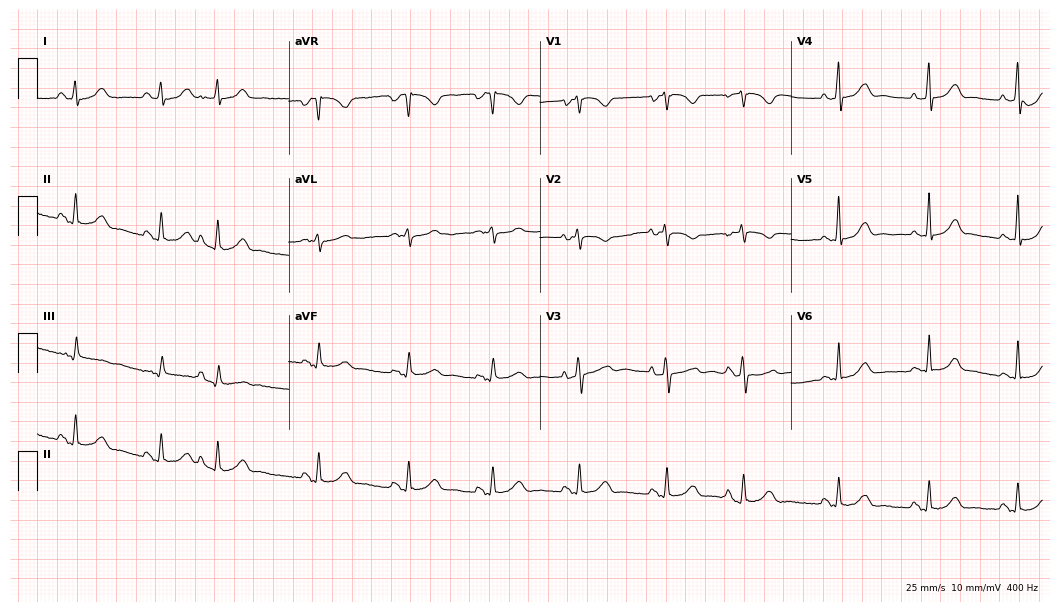
Standard 12-lead ECG recorded from a female, 39 years old (10.2-second recording at 400 Hz). None of these six findings is recorded: first-degree AV block, right bundle branch block (RBBB), left bundle branch block (LBBB), sinus bradycardia, atrial fibrillation (AF), sinus tachycardia.